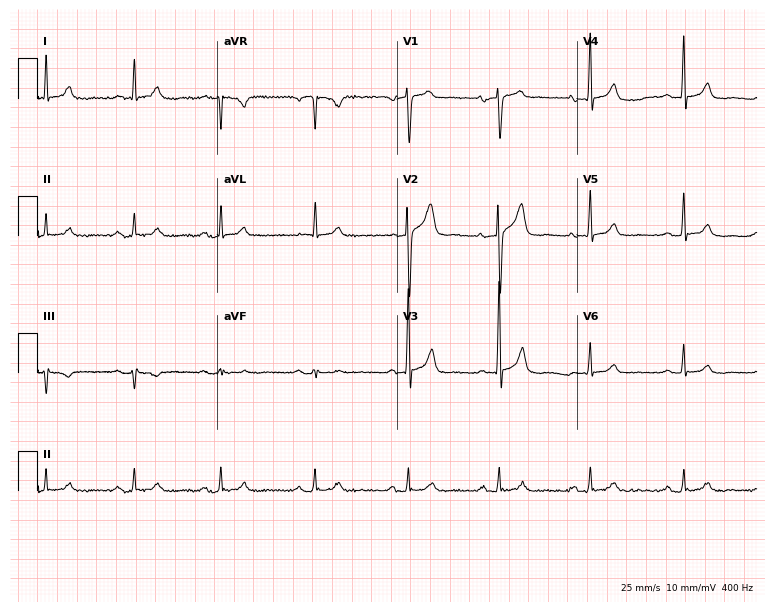
ECG — a male, 81 years old. Labelled as a normal ECG.